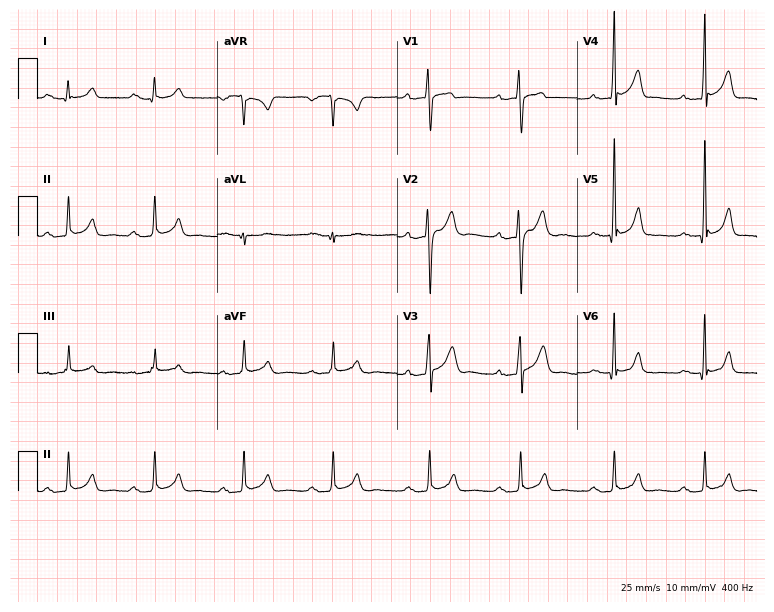
Resting 12-lead electrocardiogram. Patient: a man, 28 years old. The tracing shows first-degree AV block.